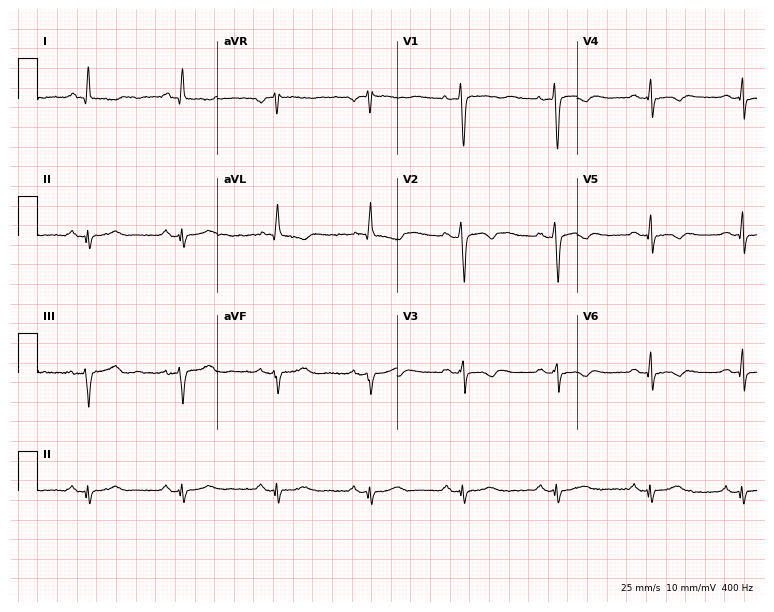
Standard 12-lead ECG recorded from a 61-year-old male patient. None of these six findings is recorded: first-degree AV block, right bundle branch block, left bundle branch block, sinus bradycardia, atrial fibrillation, sinus tachycardia.